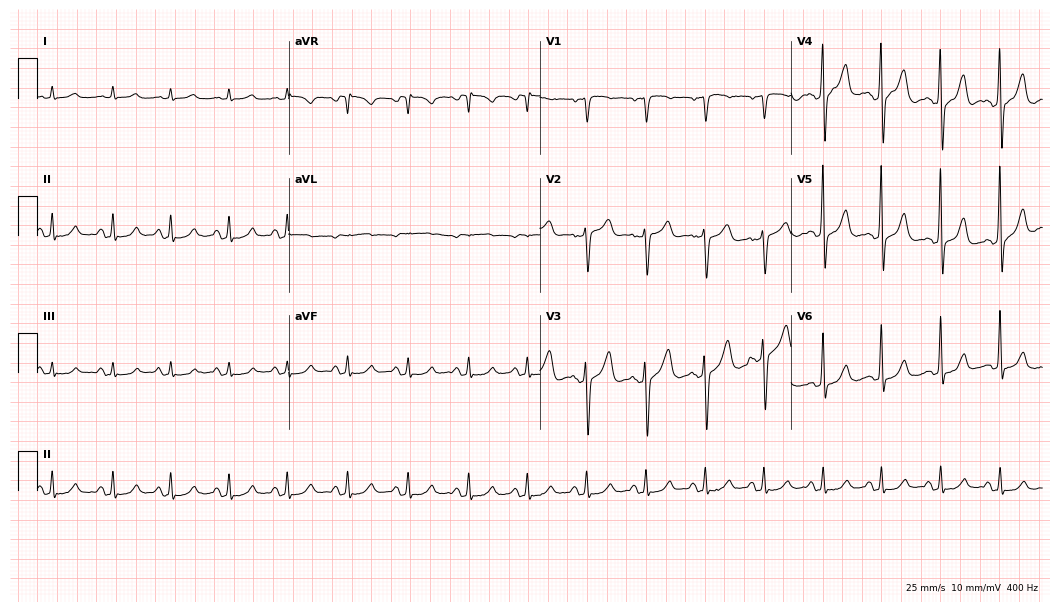
Standard 12-lead ECG recorded from a male patient, 52 years old. None of these six findings is recorded: first-degree AV block, right bundle branch block, left bundle branch block, sinus bradycardia, atrial fibrillation, sinus tachycardia.